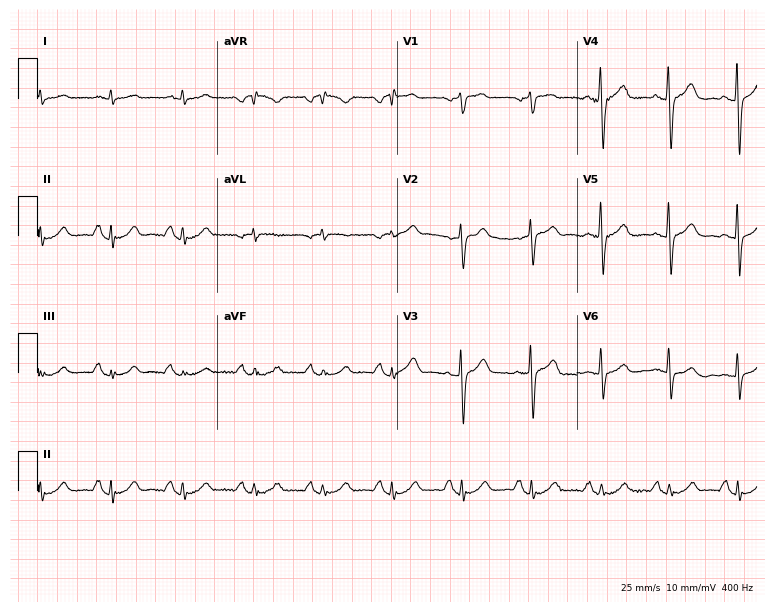
Standard 12-lead ECG recorded from a male patient, 72 years old. None of these six findings is recorded: first-degree AV block, right bundle branch block (RBBB), left bundle branch block (LBBB), sinus bradycardia, atrial fibrillation (AF), sinus tachycardia. Other findings, if any, are not listed.